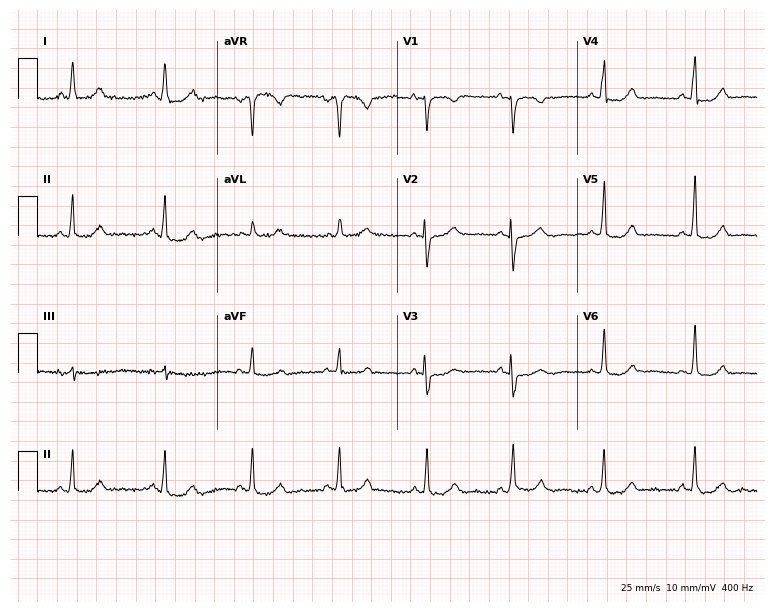
12-lead ECG from a female, 51 years old. Screened for six findings — first-degree AV block, right bundle branch block (RBBB), left bundle branch block (LBBB), sinus bradycardia, atrial fibrillation (AF), sinus tachycardia — none is recorded.